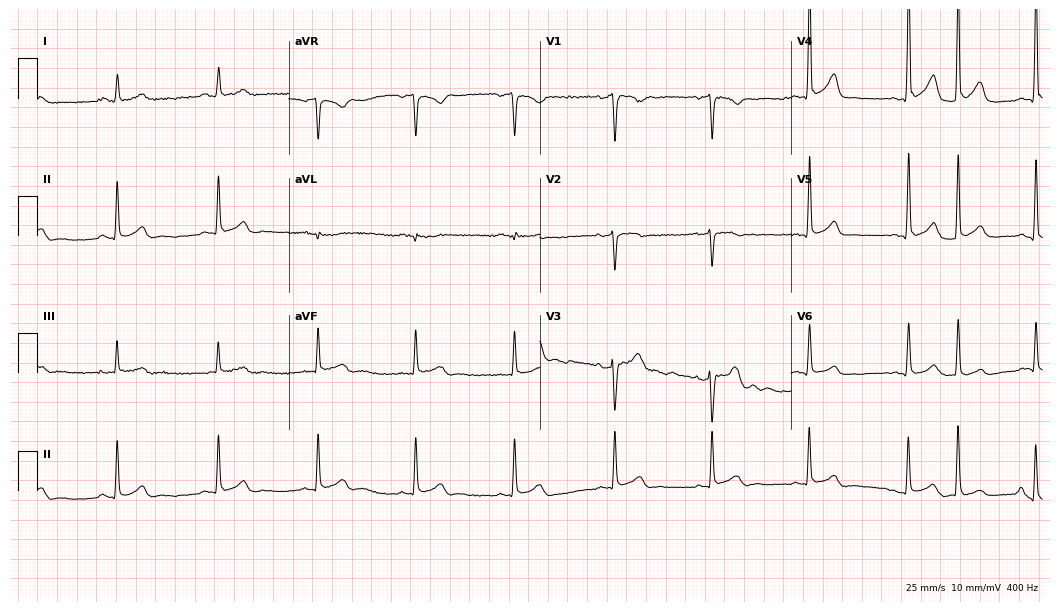
Standard 12-lead ECG recorded from a man, 44 years old (10.2-second recording at 400 Hz). None of these six findings is recorded: first-degree AV block, right bundle branch block, left bundle branch block, sinus bradycardia, atrial fibrillation, sinus tachycardia.